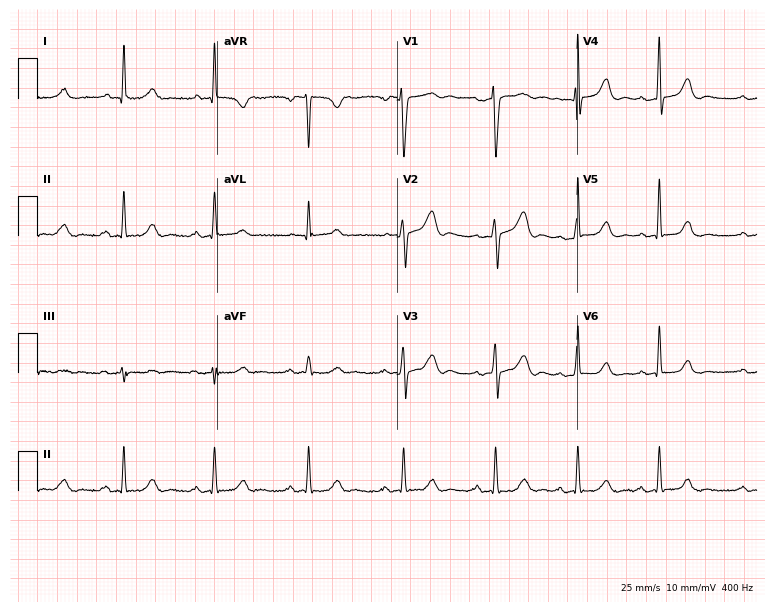
12-lead ECG from a female patient, 35 years old (7.3-second recording at 400 Hz). Recorded interpretation: within normal limits.